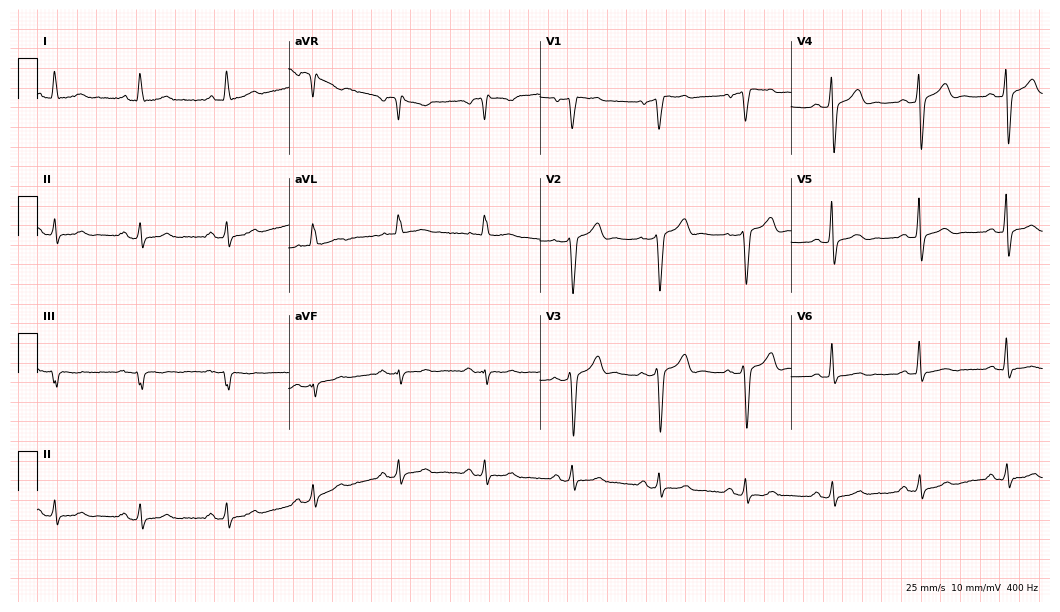
12-lead ECG (10.2-second recording at 400 Hz) from a male patient, 57 years old. Labelled as a normal ECG.